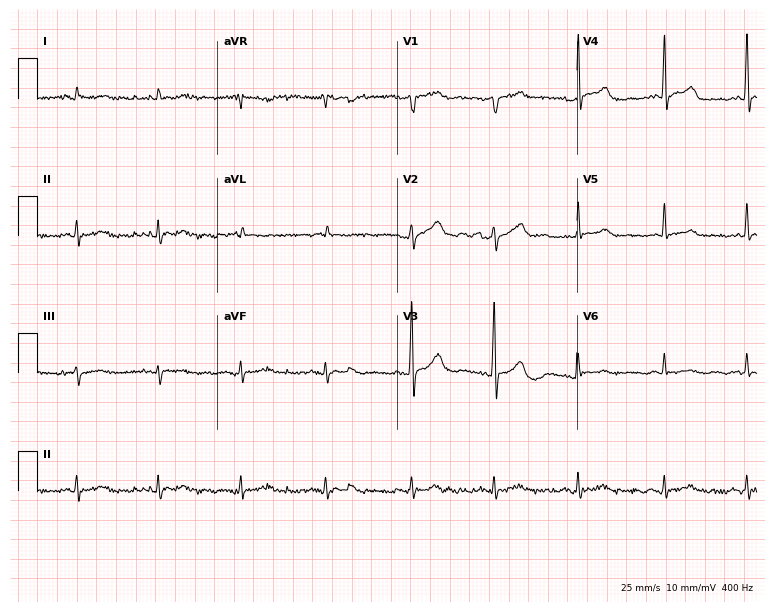
Electrocardiogram (7.3-second recording at 400 Hz), a man, 76 years old. Overall reading on record: normal ECG.